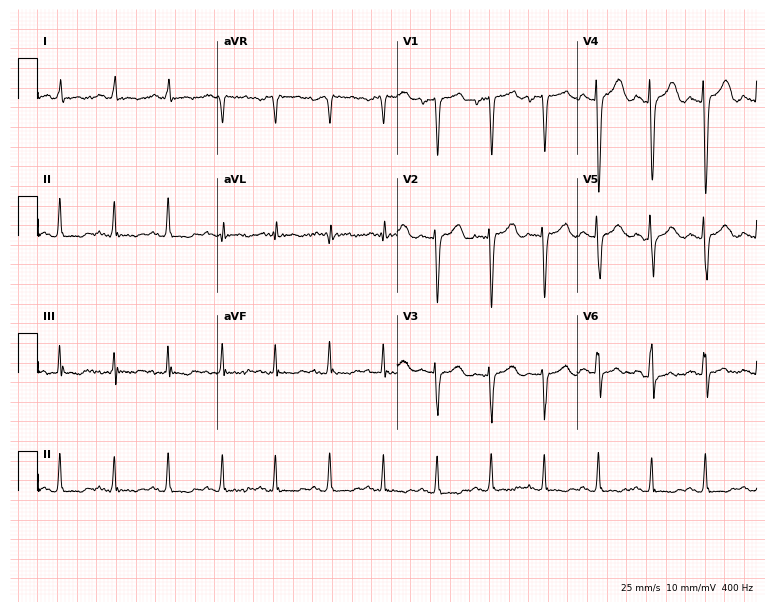
12-lead ECG from a woman, 80 years old (7.3-second recording at 400 Hz). Shows sinus tachycardia (a sinus rate of 100 beats per minute or more).